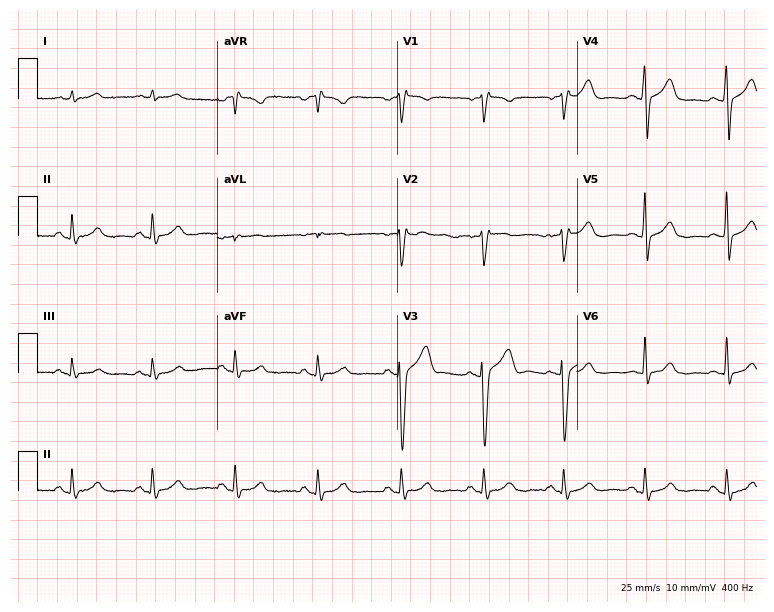
Resting 12-lead electrocardiogram. Patient: a male, 59 years old. None of these six findings is recorded: first-degree AV block, right bundle branch block, left bundle branch block, sinus bradycardia, atrial fibrillation, sinus tachycardia. Only these six findings were labelled.